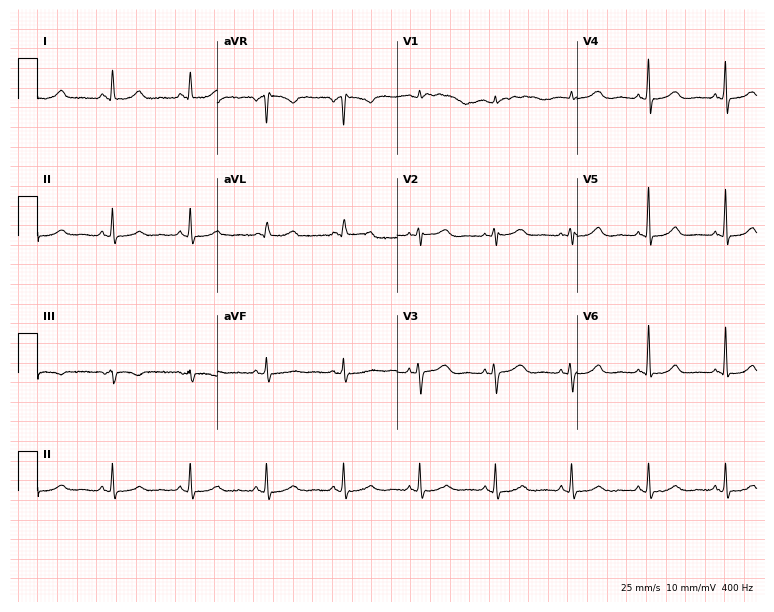
Electrocardiogram (7.3-second recording at 400 Hz), a woman, 66 years old. Overall reading on record: normal ECG.